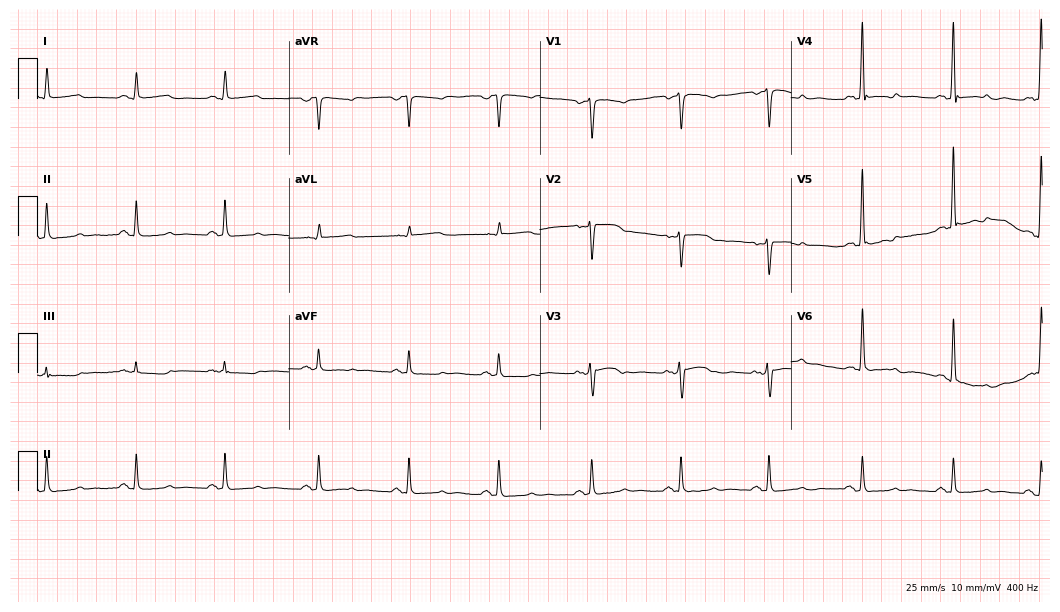
12-lead ECG from a 62-year-old female patient (10.2-second recording at 400 Hz). No first-degree AV block, right bundle branch block, left bundle branch block, sinus bradycardia, atrial fibrillation or sinus tachycardia recorded for this tracing. Findings outside these six are not listed.